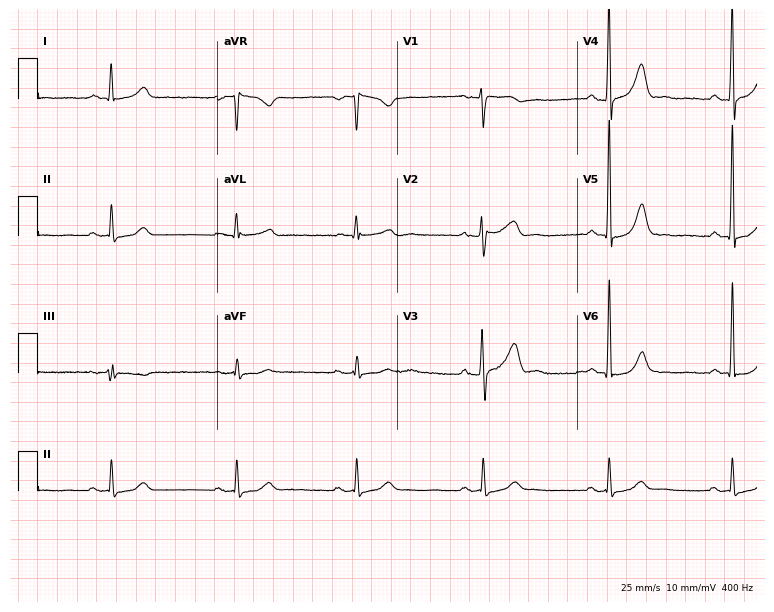
12-lead ECG (7.3-second recording at 400 Hz) from a 68-year-old male. Findings include sinus bradycardia (a sinus rate of 50 beats per minute or less).